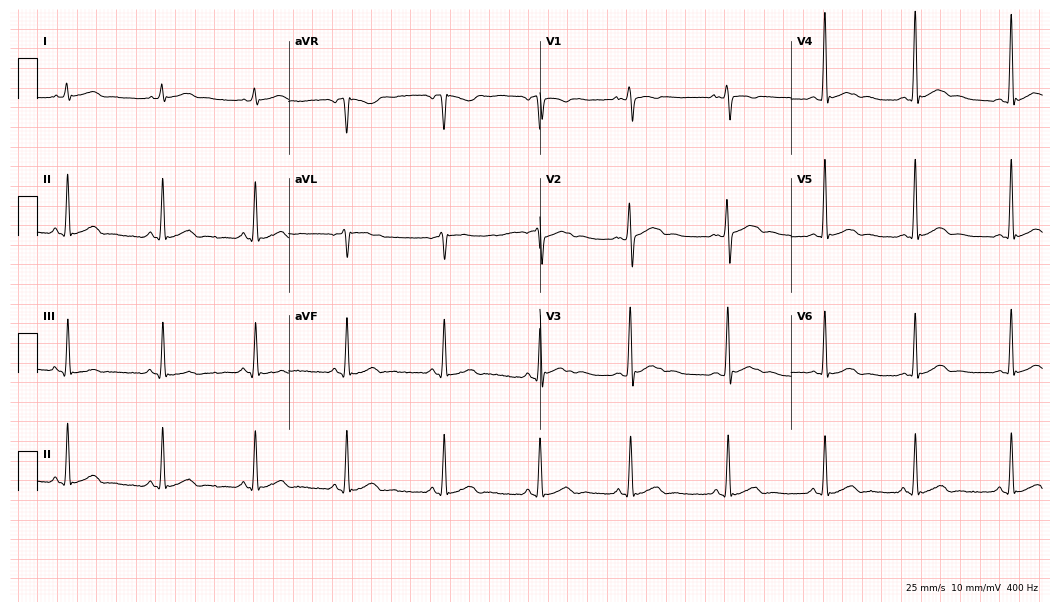
ECG — a man, 20 years old. Labelled as a normal ECG.